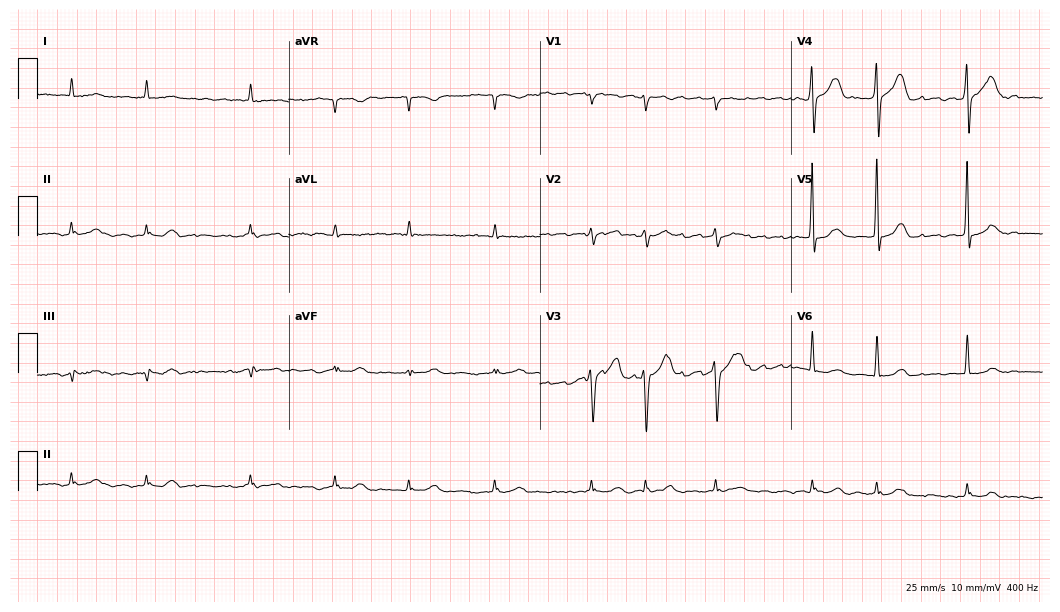
ECG (10.2-second recording at 400 Hz) — a 59-year-old male. Findings include atrial fibrillation.